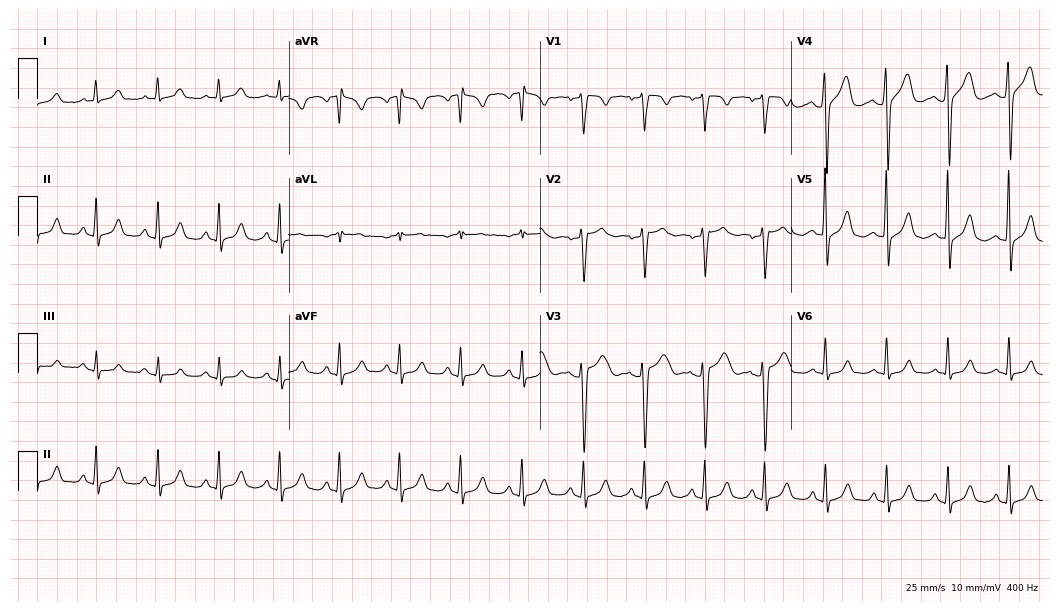
12-lead ECG from a 40-year-old female (10.2-second recording at 400 Hz). Recorded interpretation: within normal limits.